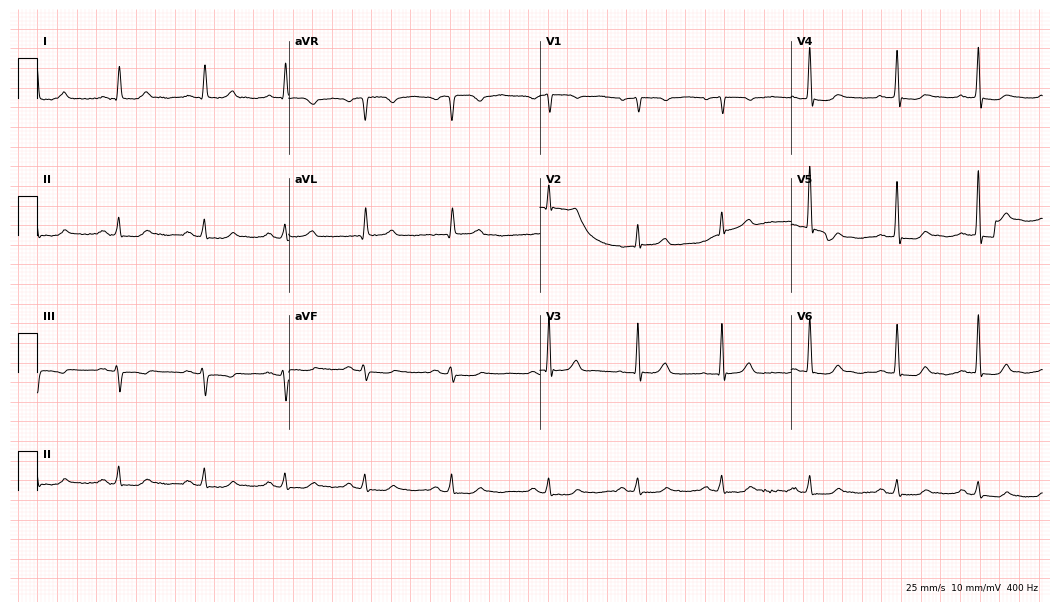
Standard 12-lead ECG recorded from a female, 83 years old. None of these six findings is recorded: first-degree AV block, right bundle branch block, left bundle branch block, sinus bradycardia, atrial fibrillation, sinus tachycardia. Findings outside these six are not listed.